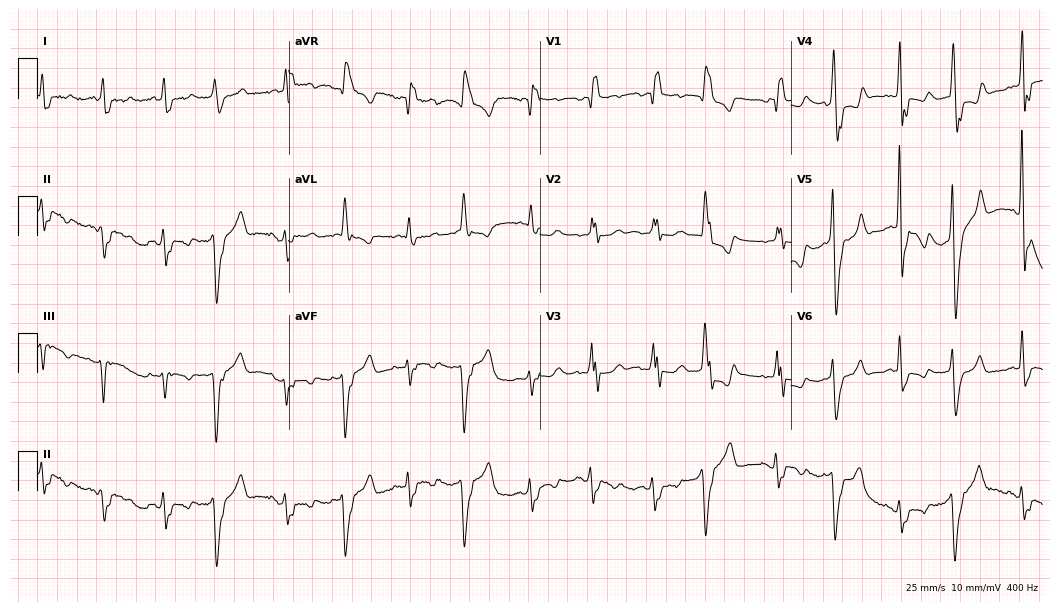
Standard 12-lead ECG recorded from an 85-year-old female (10.2-second recording at 400 Hz). The tracing shows right bundle branch block.